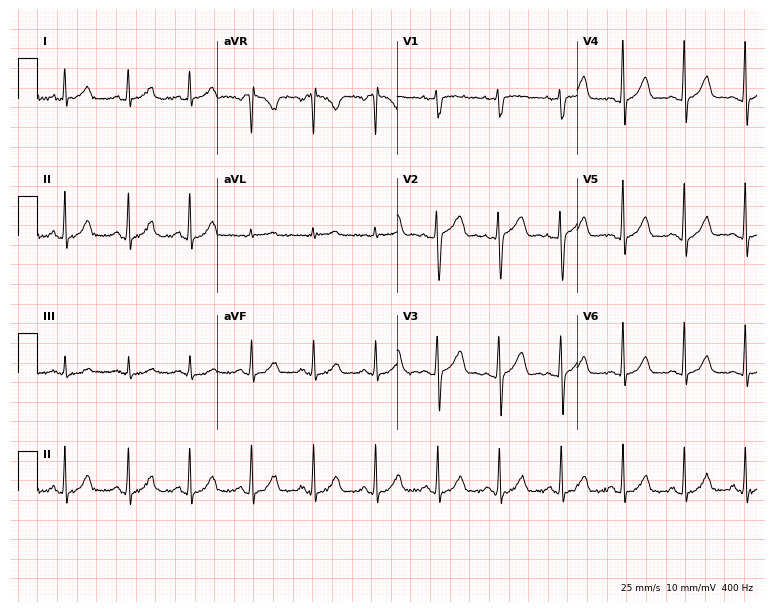
12-lead ECG from a 31-year-old woman. Screened for six findings — first-degree AV block, right bundle branch block (RBBB), left bundle branch block (LBBB), sinus bradycardia, atrial fibrillation (AF), sinus tachycardia — none is recorded.